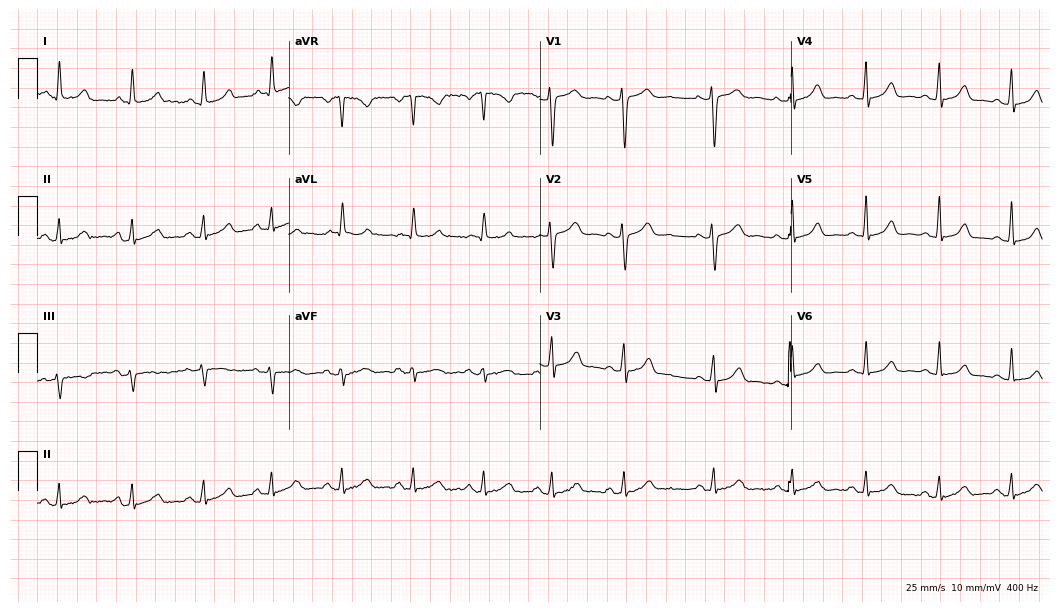
12-lead ECG (10.2-second recording at 400 Hz) from a female, 39 years old. Labelled as a normal ECG.